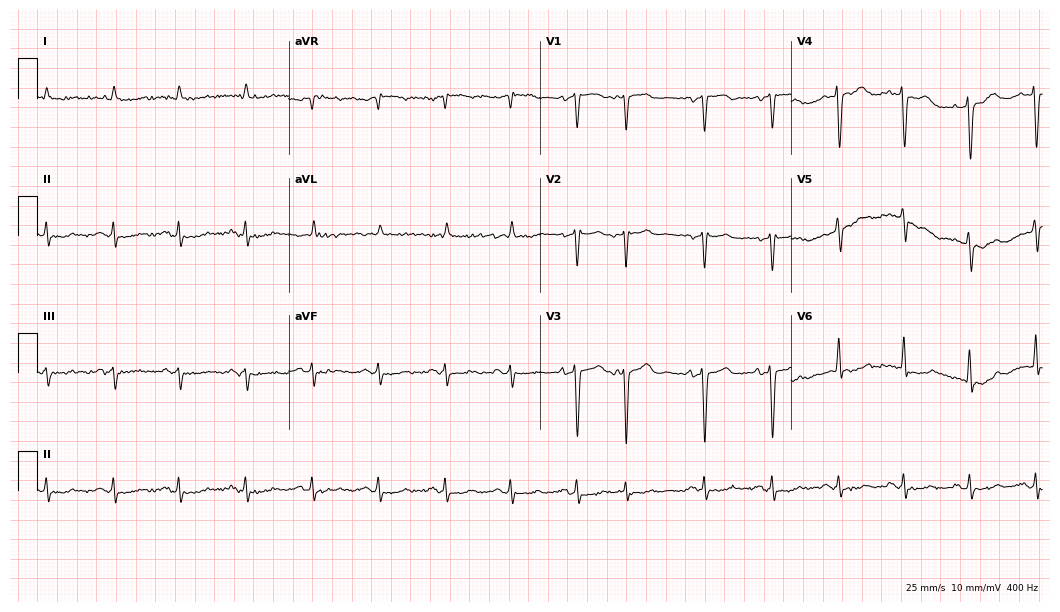
Standard 12-lead ECG recorded from a 67-year-old male (10.2-second recording at 400 Hz). None of these six findings is recorded: first-degree AV block, right bundle branch block, left bundle branch block, sinus bradycardia, atrial fibrillation, sinus tachycardia.